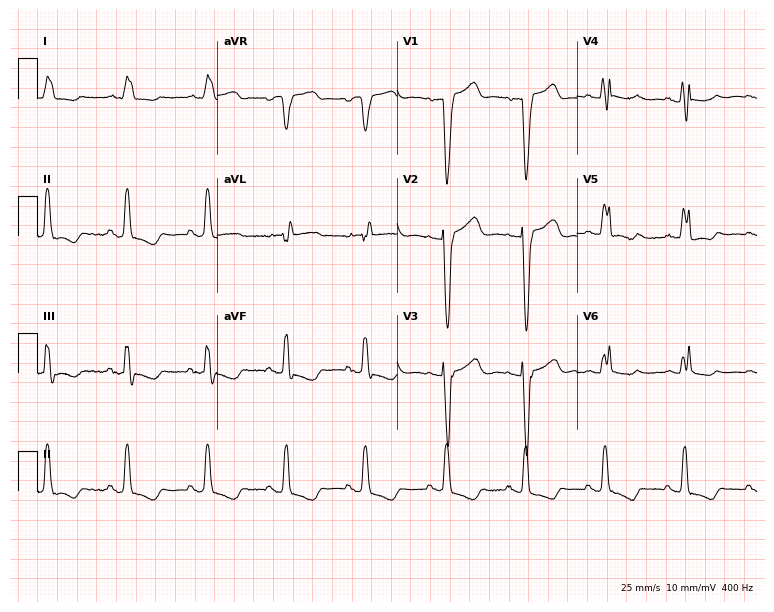
ECG (7.3-second recording at 400 Hz) — a female patient, 61 years old. Findings include left bundle branch block (LBBB).